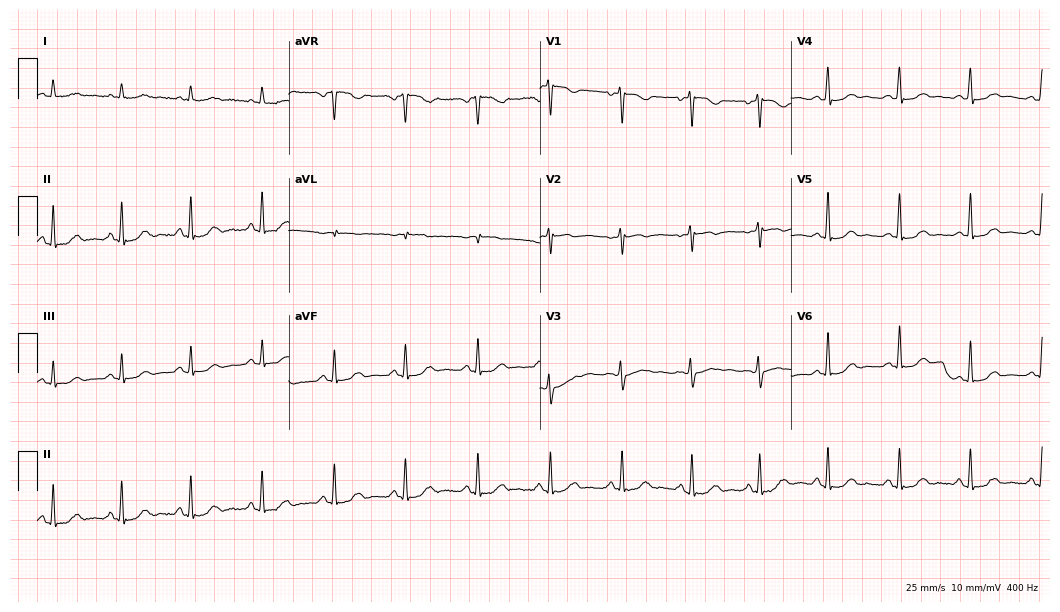
12-lead ECG from a 42-year-old female patient. No first-degree AV block, right bundle branch block, left bundle branch block, sinus bradycardia, atrial fibrillation or sinus tachycardia recorded for this tracing.